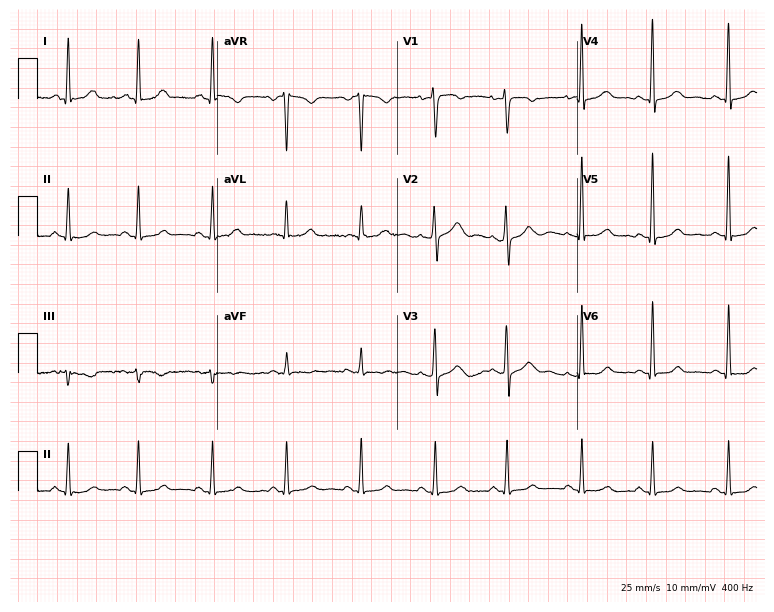
Electrocardiogram, a 44-year-old female patient. Of the six screened findings (first-degree AV block, right bundle branch block, left bundle branch block, sinus bradycardia, atrial fibrillation, sinus tachycardia), none is recorded. Other findings, if any, are not listed.